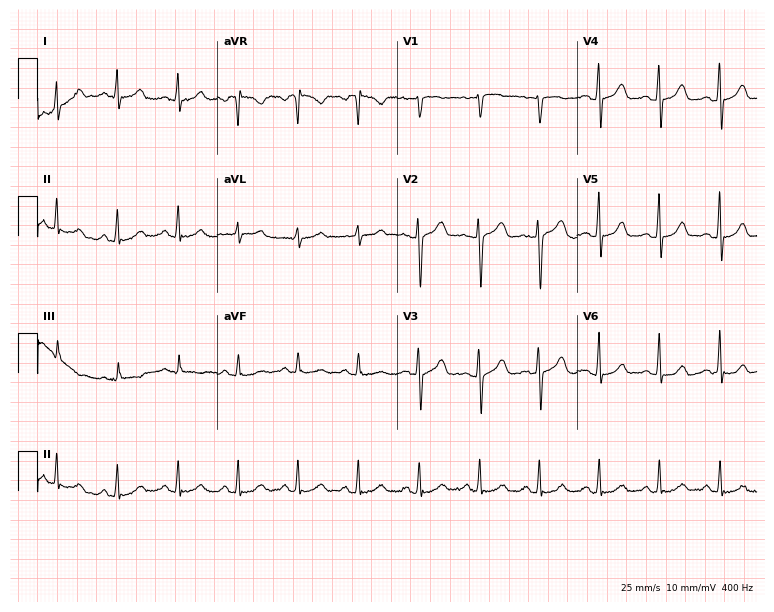
12-lead ECG from a 51-year-old female. Recorded interpretation: within normal limits.